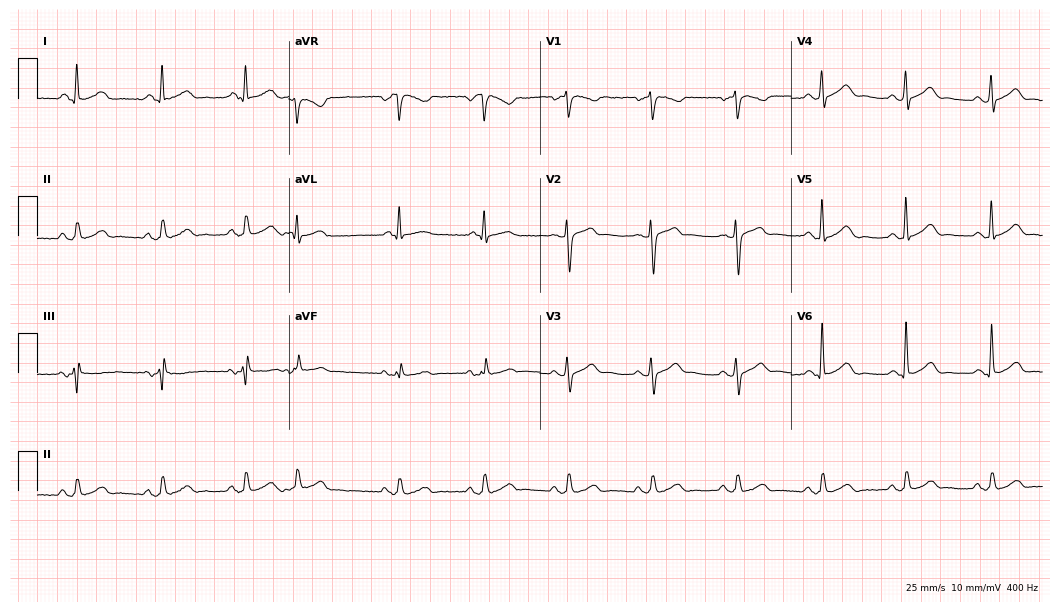
12-lead ECG from a 51-year-old man (10.2-second recording at 400 Hz). No first-degree AV block, right bundle branch block (RBBB), left bundle branch block (LBBB), sinus bradycardia, atrial fibrillation (AF) or sinus tachycardia recorded for this tracing.